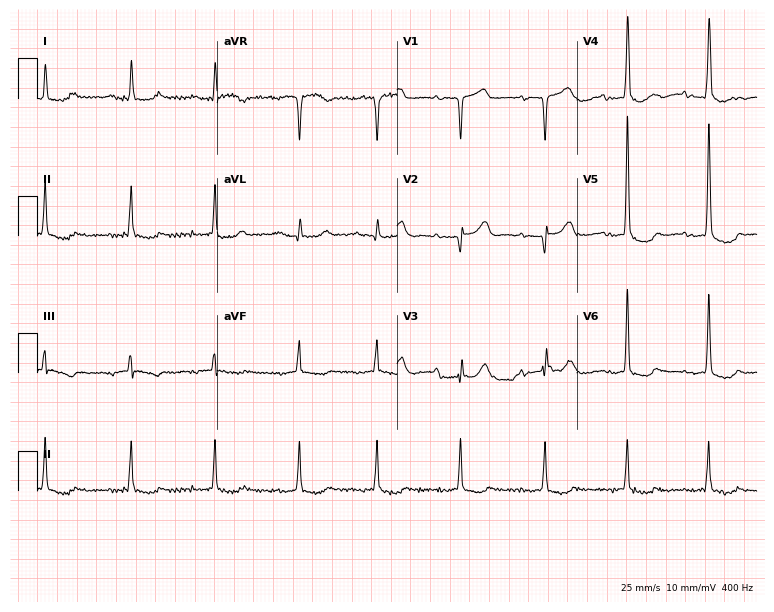
12-lead ECG from a 76-year-old woman (7.3-second recording at 400 Hz). No first-degree AV block, right bundle branch block, left bundle branch block, sinus bradycardia, atrial fibrillation or sinus tachycardia recorded for this tracing.